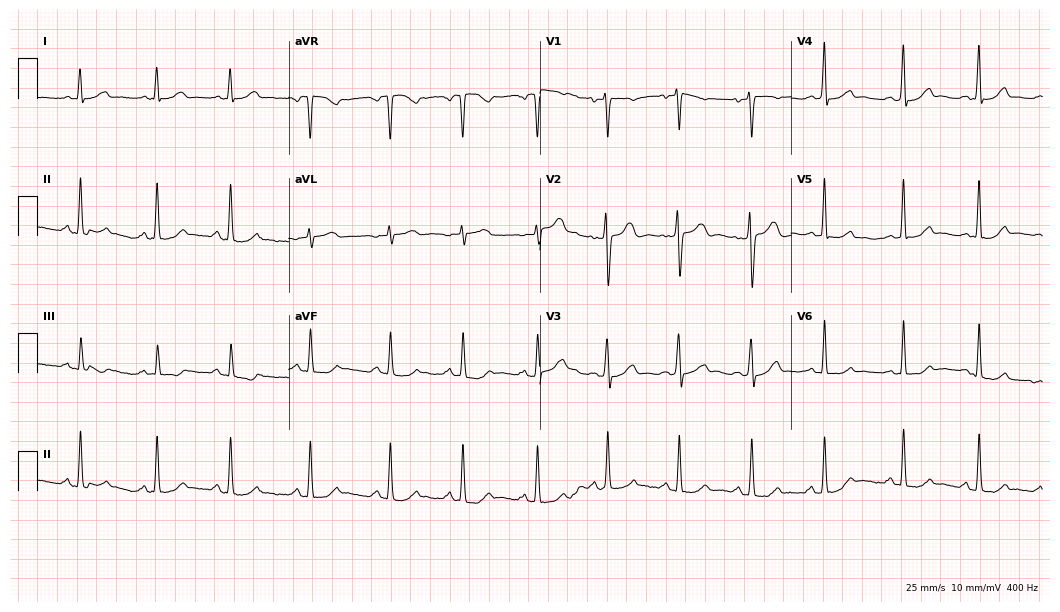
Electrocardiogram, a 33-year-old female patient. Overall reading on record: normal ECG.